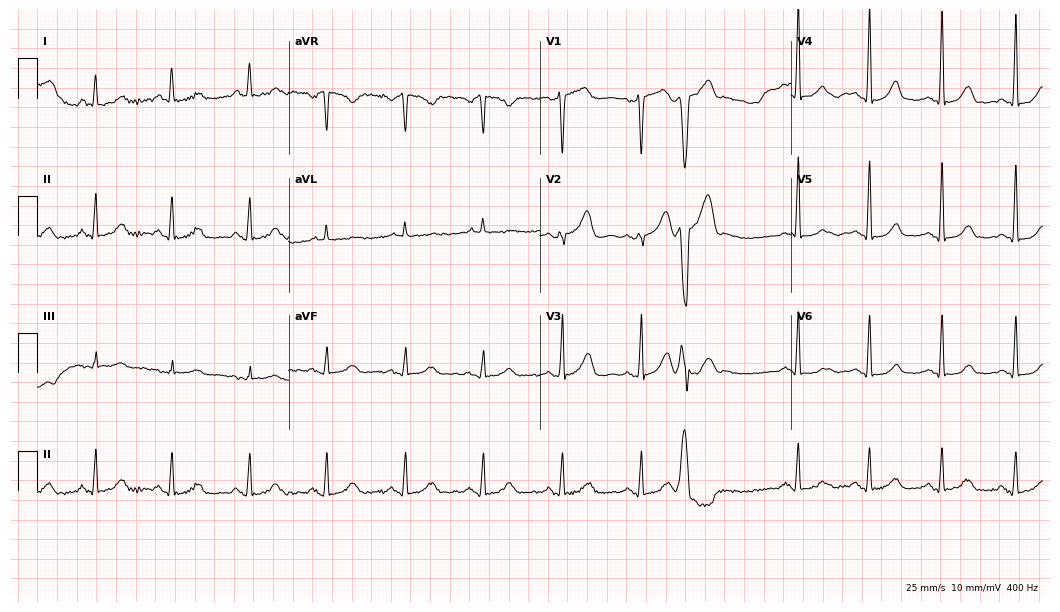
Resting 12-lead electrocardiogram (10.2-second recording at 400 Hz). Patient: a woman, 41 years old. None of these six findings is recorded: first-degree AV block, right bundle branch block (RBBB), left bundle branch block (LBBB), sinus bradycardia, atrial fibrillation (AF), sinus tachycardia. Findings outside these six are not listed.